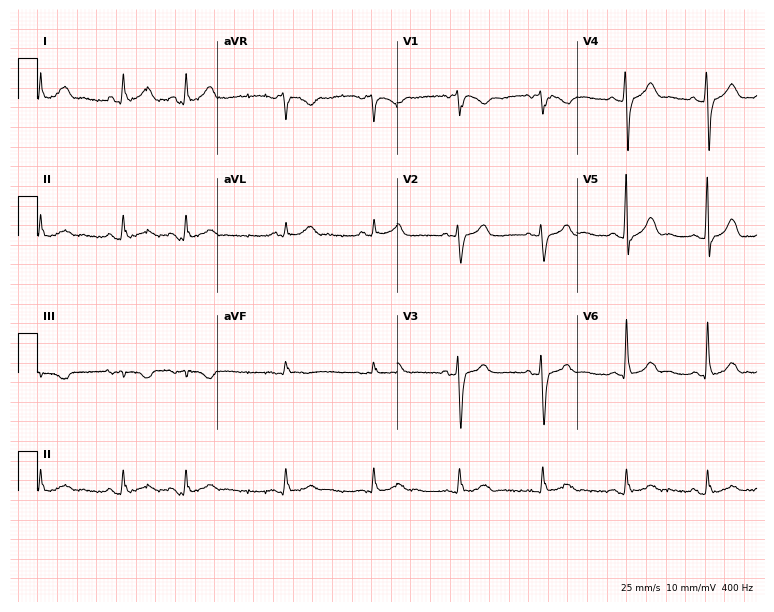
Resting 12-lead electrocardiogram. Patient: a male, 80 years old. Read as a normal ECG.